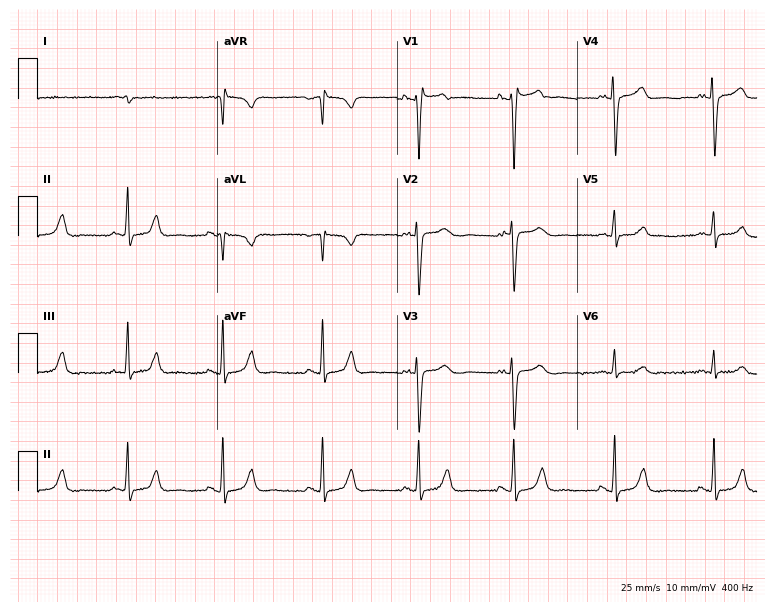
ECG — a male, 60 years old. Screened for six findings — first-degree AV block, right bundle branch block, left bundle branch block, sinus bradycardia, atrial fibrillation, sinus tachycardia — none is recorded.